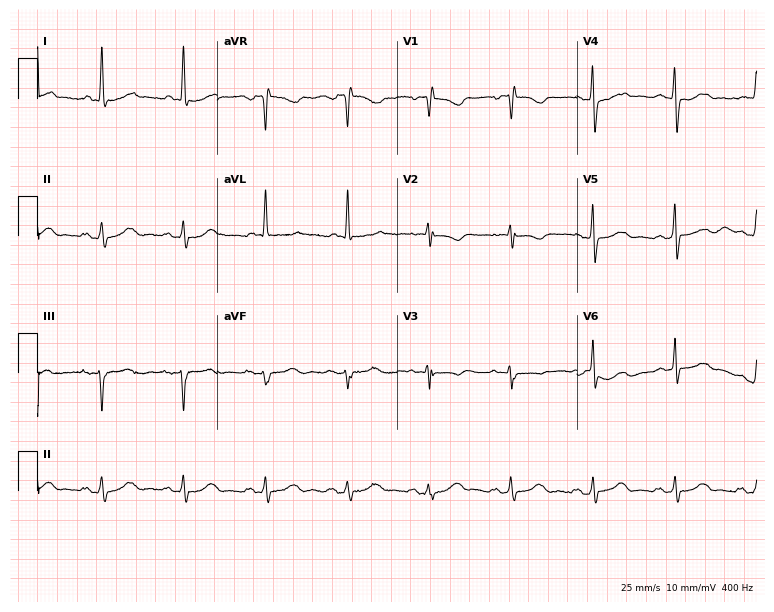
ECG — a female patient, 75 years old. Screened for six findings — first-degree AV block, right bundle branch block (RBBB), left bundle branch block (LBBB), sinus bradycardia, atrial fibrillation (AF), sinus tachycardia — none is recorded. Findings outside these six are not listed.